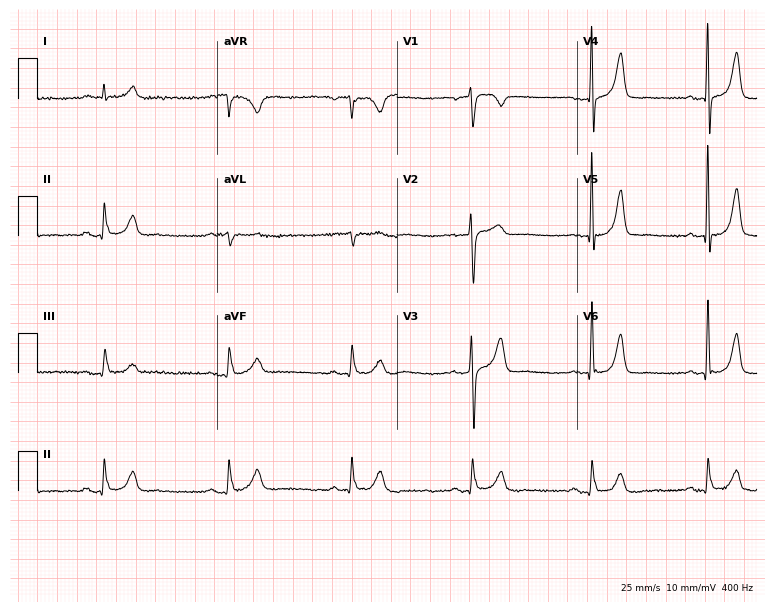
12-lead ECG from a 70-year-old man. Shows sinus bradycardia (a sinus rate of 50 beats per minute or less).